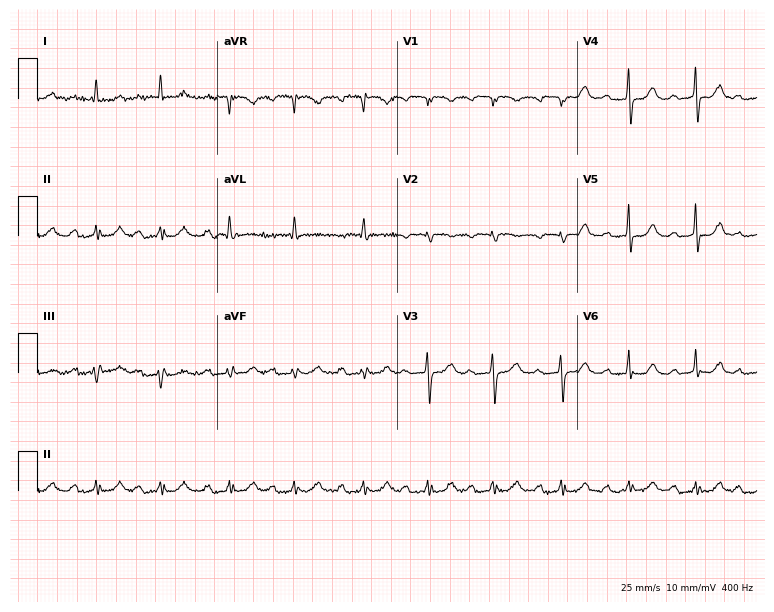
Standard 12-lead ECG recorded from a female, 70 years old. The tracing shows first-degree AV block.